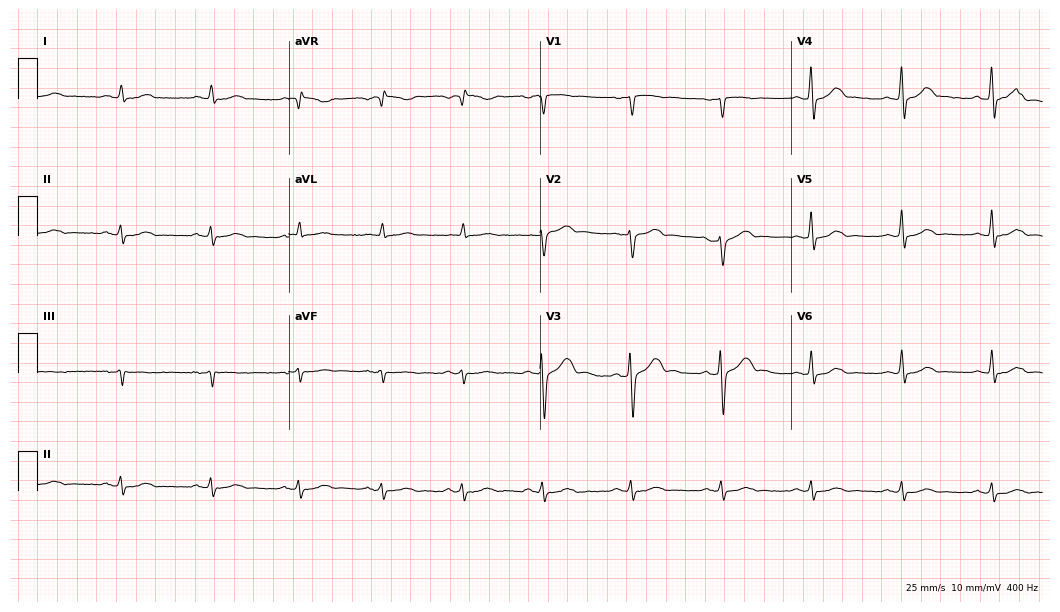
Electrocardiogram, a 55-year-old man. Overall reading on record: normal ECG.